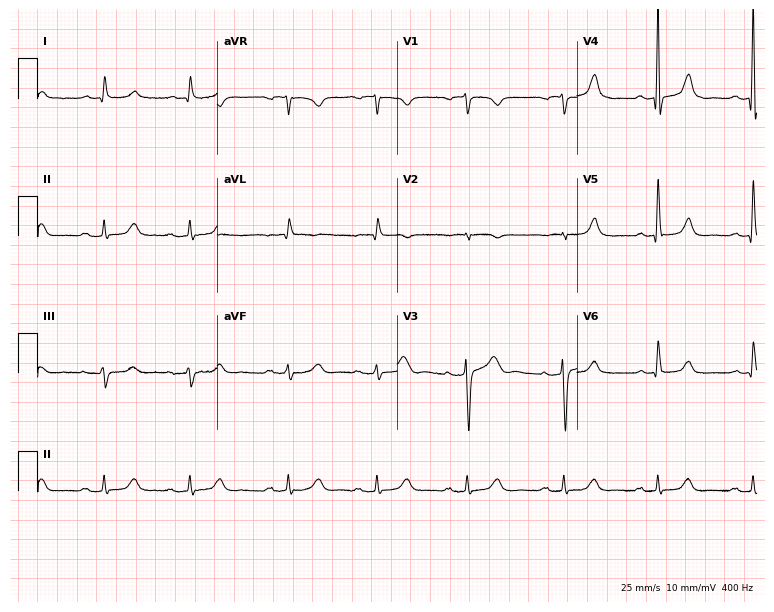
Electrocardiogram (7.3-second recording at 400 Hz), a male patient, 83 years old. Interpretation includes first-degree AV block.